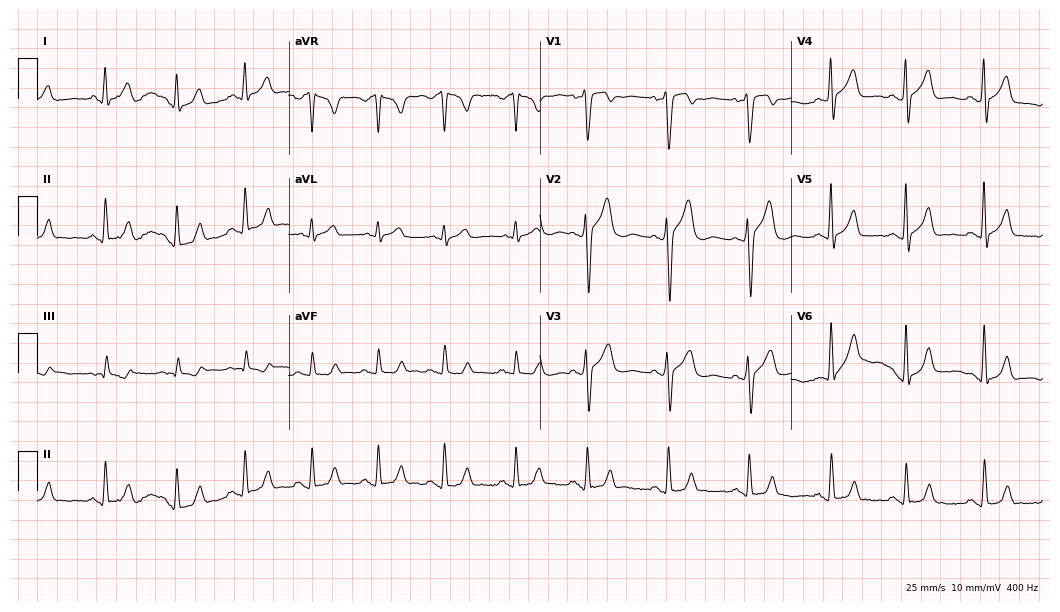
12-lead ECG from a 38-year-old male. Recorded interpretation: within normal limits.